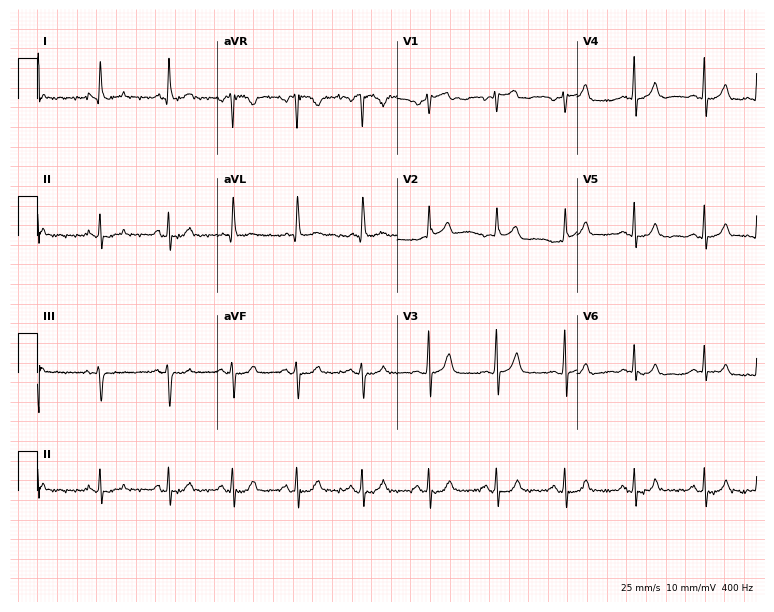
Electrocardiogram (7.3-second recording at 400 Hz), a female patient, 61 years old. Overall reading on record: normal ECG.